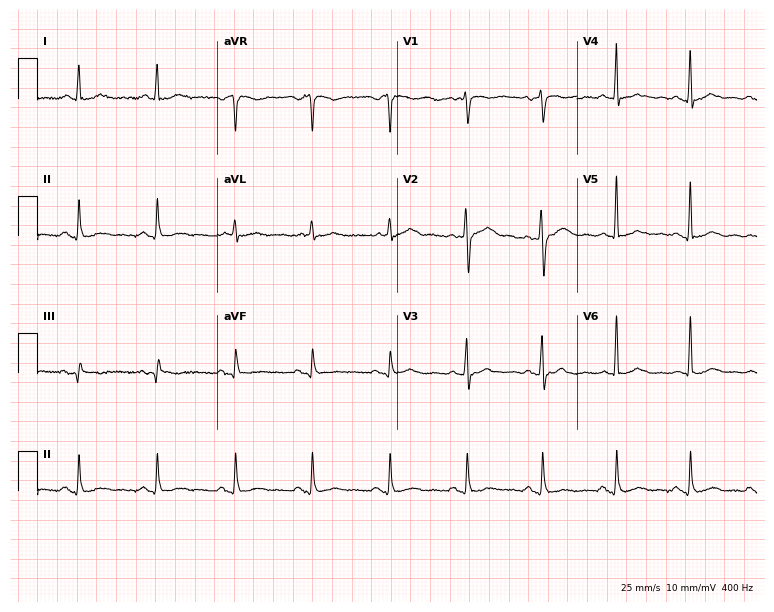
Resting 12-lead electrocardiogram. Patient: a 72-year-old male. None of these six findings is recorded: first-degree AV block, right bundle branch block, left bundle branch block, sinus bradycardia, atrial fibrillation, sinus tachycardia. Only these six findings were labelled.